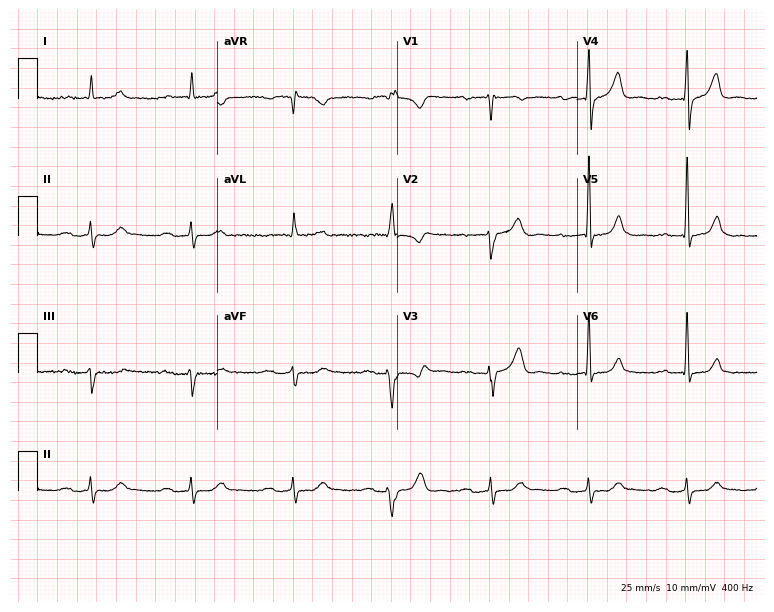
Resting 12-lead electrocardiogram. Patient: an 81-year-old male. None of these six findings is recorded: first-degree AV block, right bundle branch block, left bundle branch block, sinus bradycardia, atrial fibrillation, sinus tachycardia. Findings outside these six are not listed.